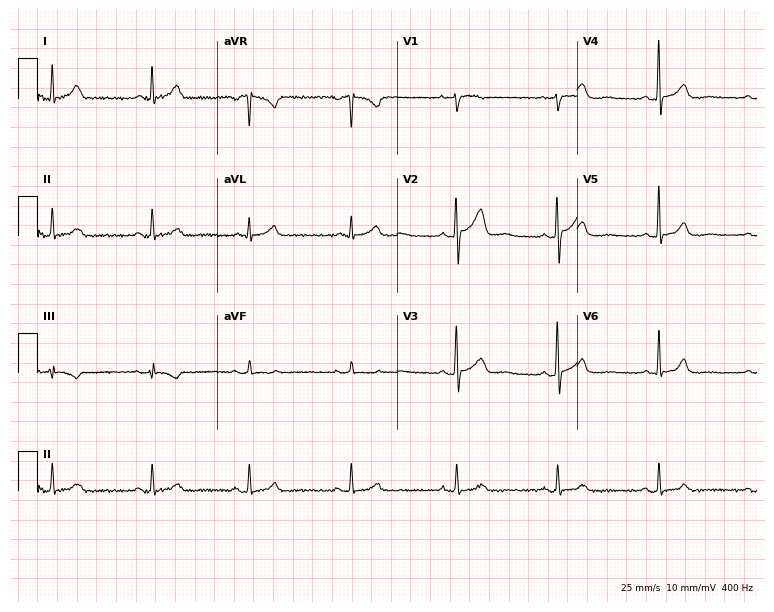
Resting 12-lead electrocardiogram. Patient: a male, 43 years old. Read as a normal ECG.